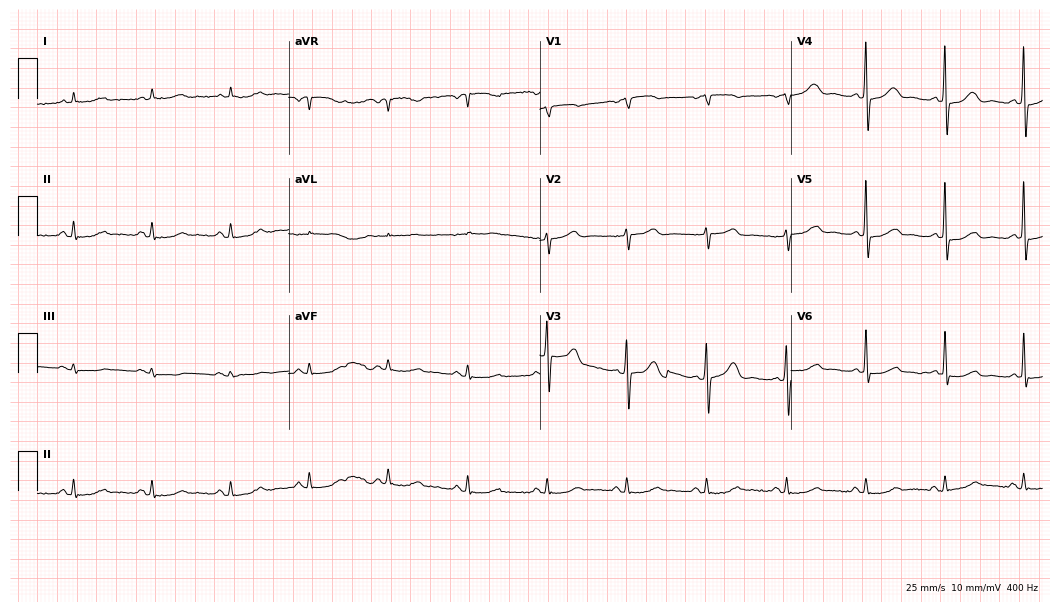
12-lead ECG from a man, 82 years old. No first-degree AV block, right bundle branch block, left bundle branch block, sinus bradycardia, atrial fibrillation or sinus tachycardia recorded for this tracing. Only these six findings were labelled.